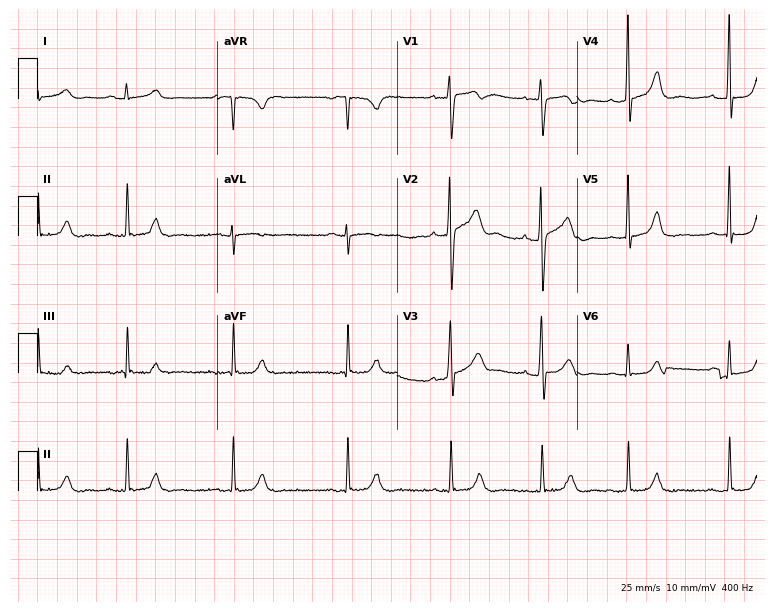
Standard 12-lead ECG recorded from a 21-year-old male (7.3-second recording at 400 Hz). Read as a normal ECG.